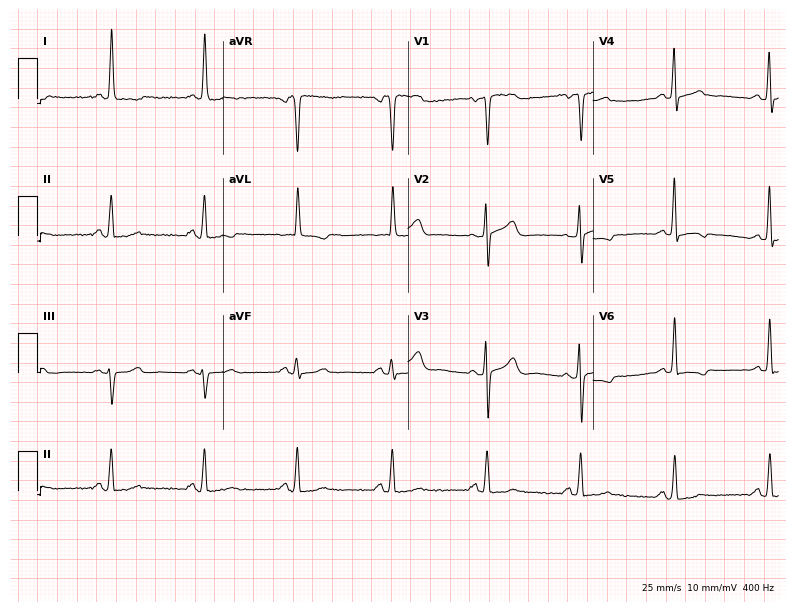
12-lead ECG from a female, 54 years old. No first-degree AV block, right bundle branch block (RBBB), left bundle branch block (LBBB), sinus bradycardia, atrial fibrillation (AF) or sinus tachycardia recorded for this tracing. Other findings, if any, are not listed.